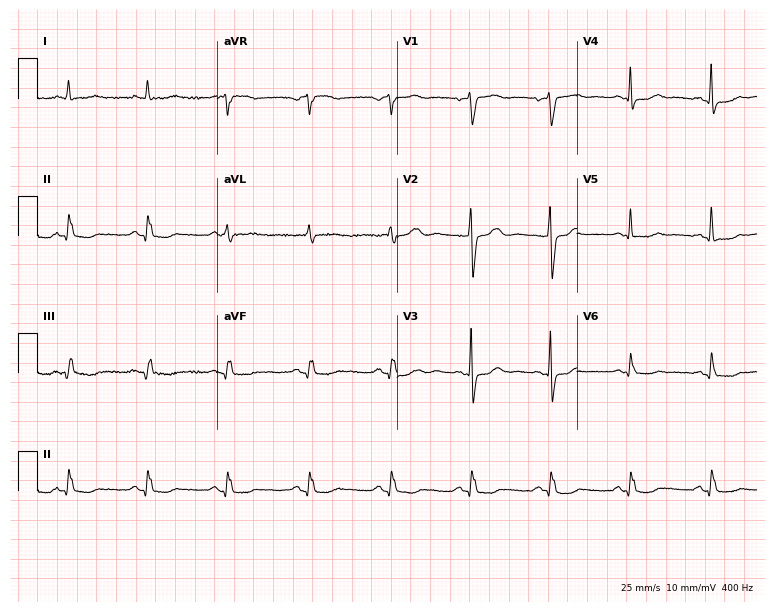
12-lead ECG from a female patient, 83 years old (7.3-second recording at 400 Hz). No first-degree AV block, right bundle branch block, left bundle branch block, sinus bradycardia, atrial fibrillation or sinus tachycardia recorded for this tracing.